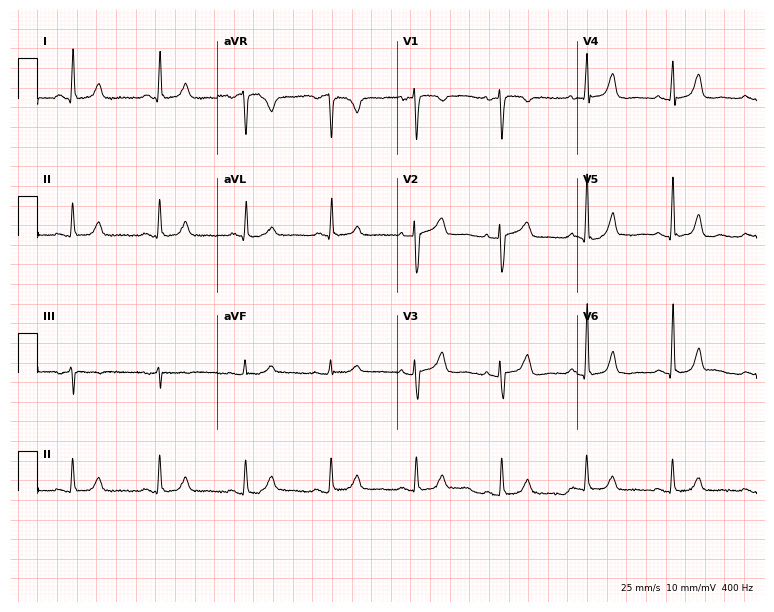
12-lead ECG from a female, 69 years old. Recorded interpretation: within normal limits.